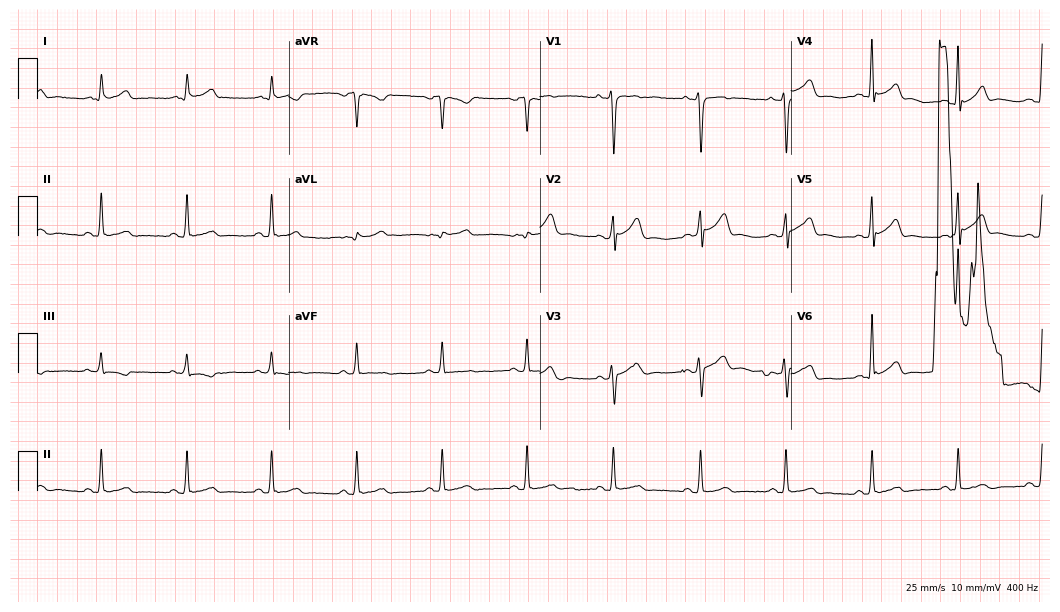
Resting 12-lead electrocardiogram. Patient: a male, 33 years old. None of these six findings is recorded: first-degree AV block, right bundle branch block (RBBB), left bundle branch block (LBBB), sinus bradycardia, atrial fibrillation (AF), sinus tachycardia. Other findings, if any, are not listed.